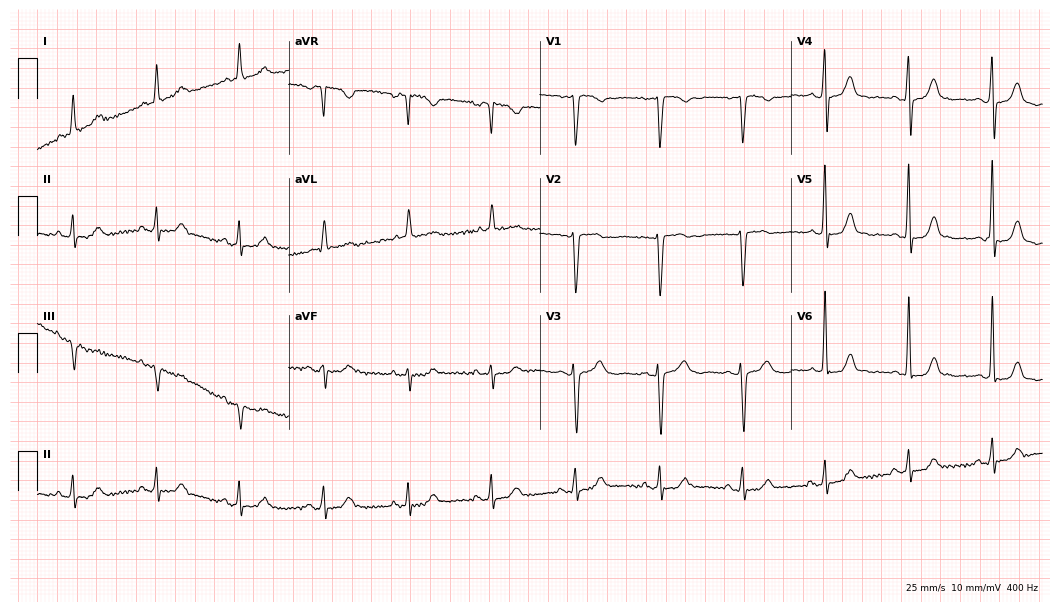
12-lead ECG (10.2-second recording at 400 Hz) from a woman, 76 years old. Labelled as a normal ECG.